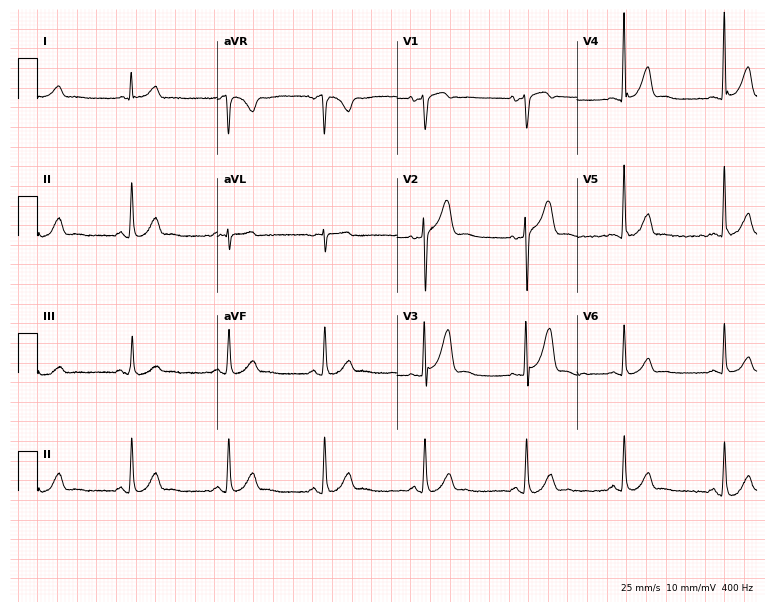
Standard 12-lead ECG recorded from a man, 47 years old (7.3-second recording at 400 Hz). Read as a normal ECG.